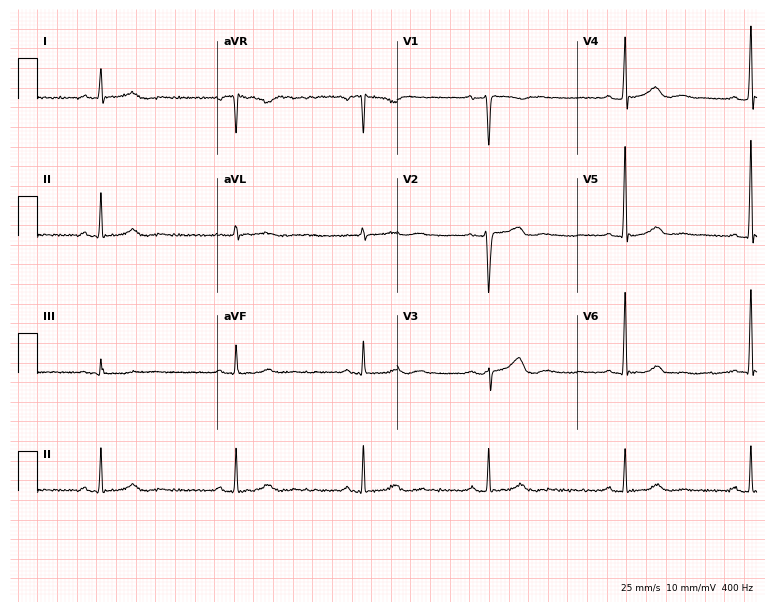
Resting 12-lead electrocardiogram (7.3-second recording at 400 Hz). Patient: a 34-year-old female. The tracing shows sinus bradycardia (a sinus rate of 50 beats per minute or less).